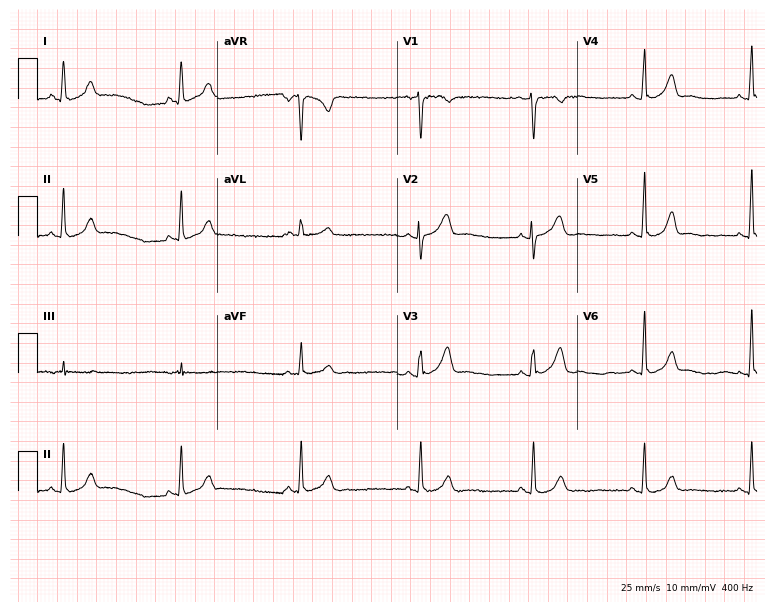
Electrocardiogram (7.3-second recording at 400 Hz), a 38-year-old female patient. Of the six screened findings (first-degree AV block, right bundle branch block, left bundle branch block, sinus bradycardia, atrial fibrillation, sinus tachycardia), none is recorded.